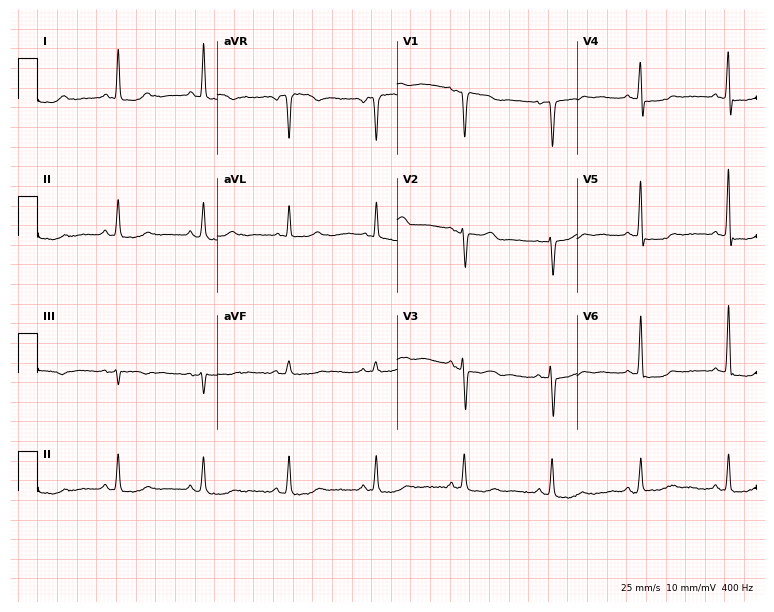
12-lead ECG from a 72-year-old female. Screened for six findings — first-degree AV block, right bundle branch block, left bundle branch block, sinus bradycardia, atrial fibrillation, sinus tachycardia — none is recorded.